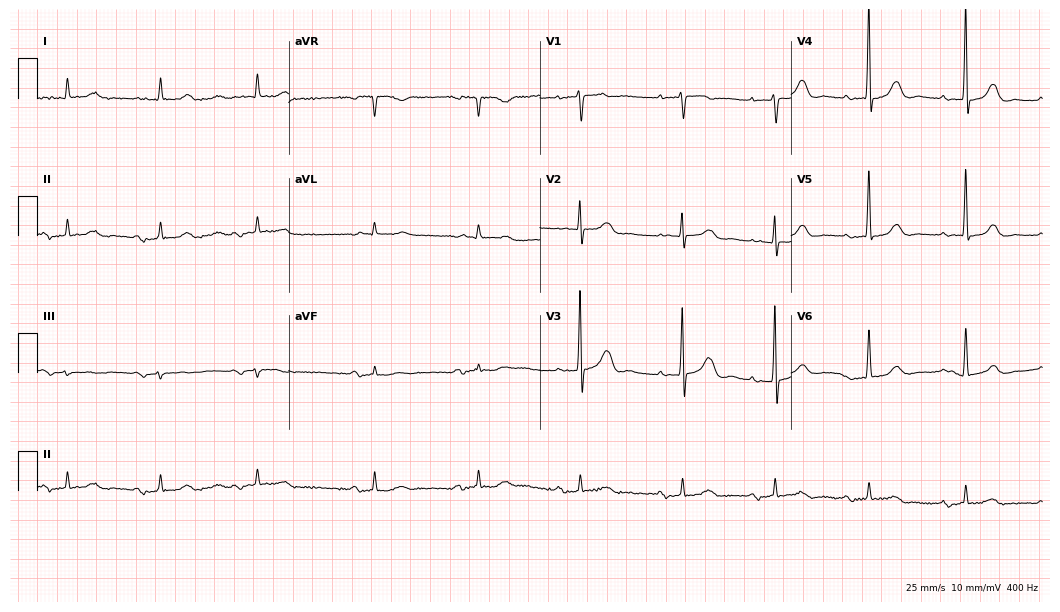
Electrocardiogram, a man, 81 years old. Of the six screened findings (first-degree AV block, right bundle branch block (RBBB), left bundle branch block (LBBB), sinus bradycardia, atrial fibrillation (AF), sinus tachycardia), none is recorded.